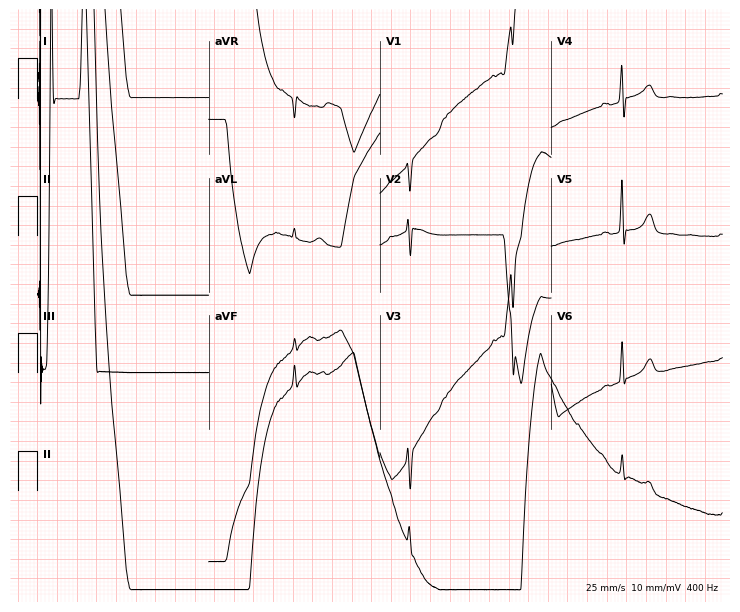
Electrocardiogram, a 28-year-old female. Of the six screened findings (first-degree AV block, right bundle branch block, left bundle branch block, sinus bradycardia, atrial fibrillation, sinus tachycardia), none is recorded.